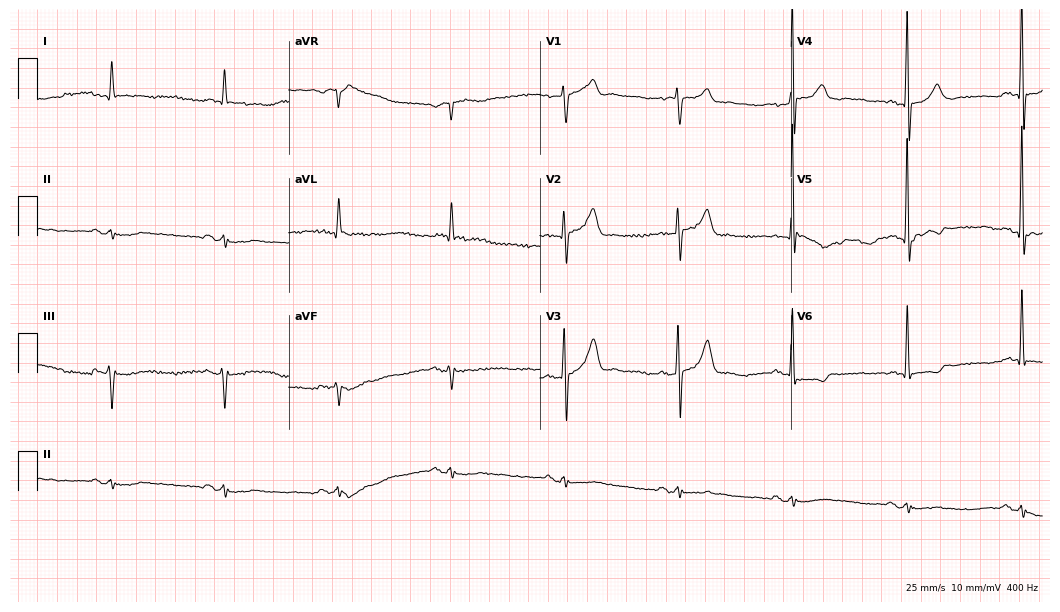
12-lead ECG from a man, 79 years old (10.2-second recording at 400 Hz). No first-degree AV block, right bundle branch block, left bundle branch block, sinus bradycardia, atrial fibrillation or sinus tachycardia recorded for this tracing.